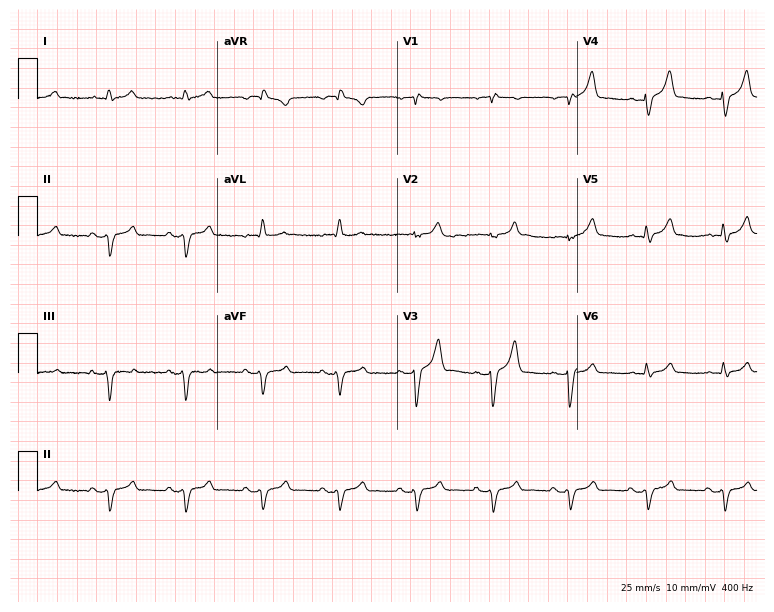
12-lead ECG (7.3-second recording at 400 Hz) from a 70-year-old male patient. Screened for six findings — first-degree AV block, right bundle branch block, left bundle branch block, sinus bradycardia, atrial fibrillation, sinus tachycardia — none is recorded. Findings outside these six are not listed.